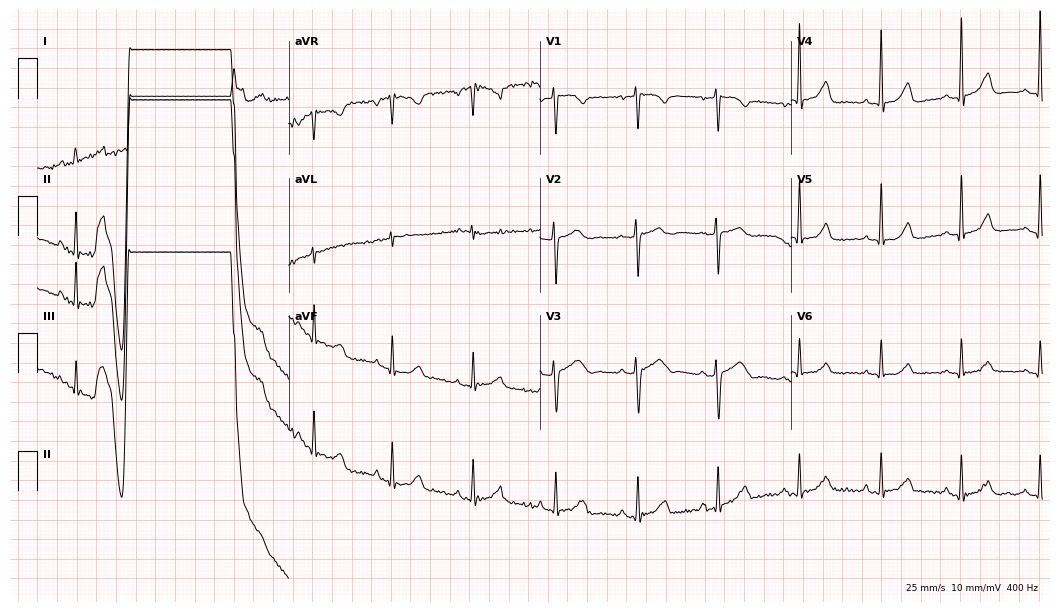
12-lead ECG from a 41-year-old woman (10.2-second recording at 400 Hz). No first-degree AV block, right bundle branch block (RBBB), left bundle branch block (LBBB), sinus bradycardia, atrial fibrillation (AF) or sinus tachycardia recorded for this tracing.